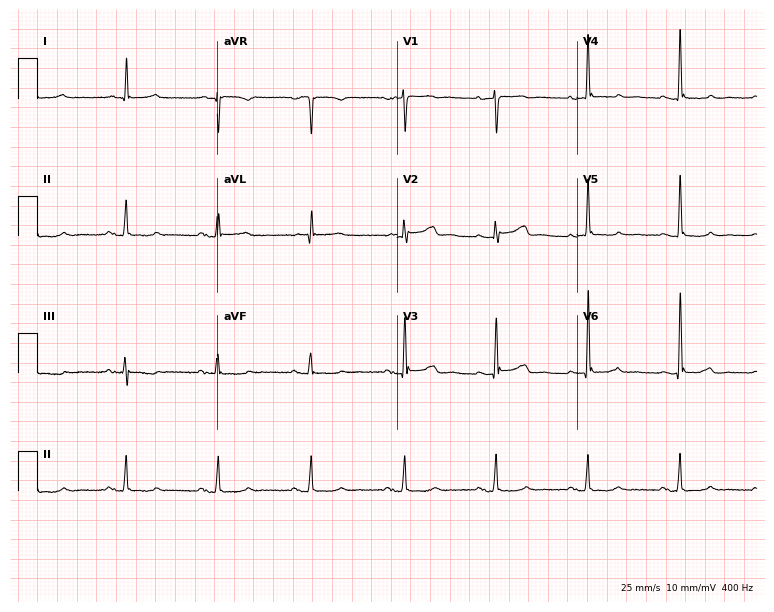
ECG — a female, 68 years old. Screened for six findings — first-degree AV block, right bundle branch block (RBBB), left bundle branch block (LBBB), sinus bradycardia, atrial fibrillation (AF), sinus tachycardia — none is recorded.